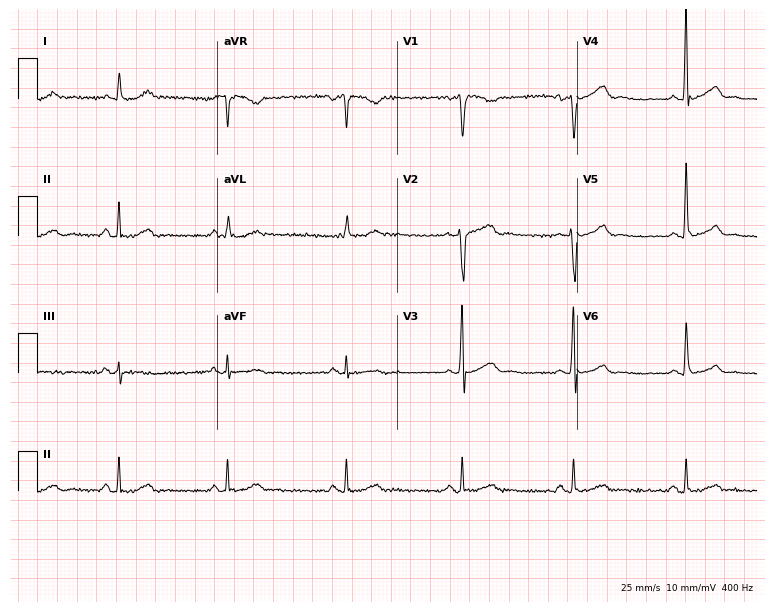
Electrocardiogram, a 52-year-old male. Overall reading on record: normal ECG.